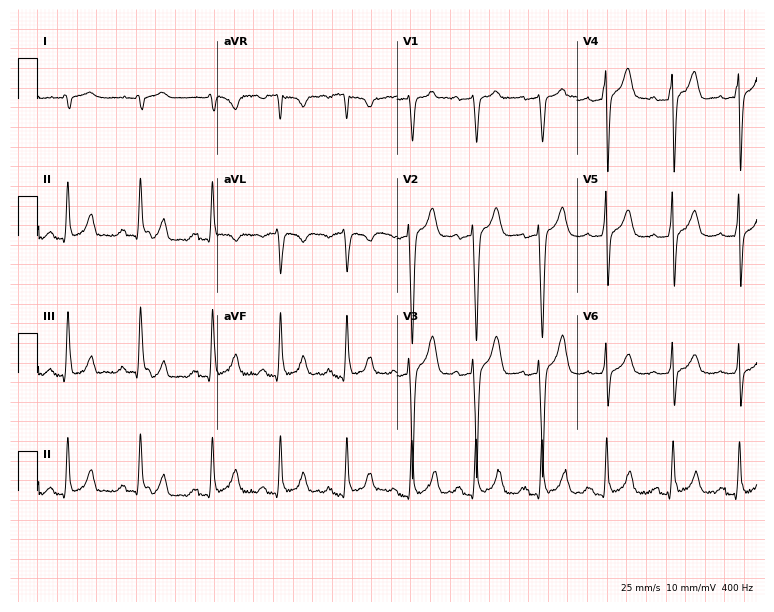
ECG — a 33-year-old male patient. Screened for six findings — first-degree AV block, right bundle branch block (RBBB), left bundle branch block (LBBB), sinus bradycardia, atrial fibrillation (AF), sinus tachycardia — none is recorded.